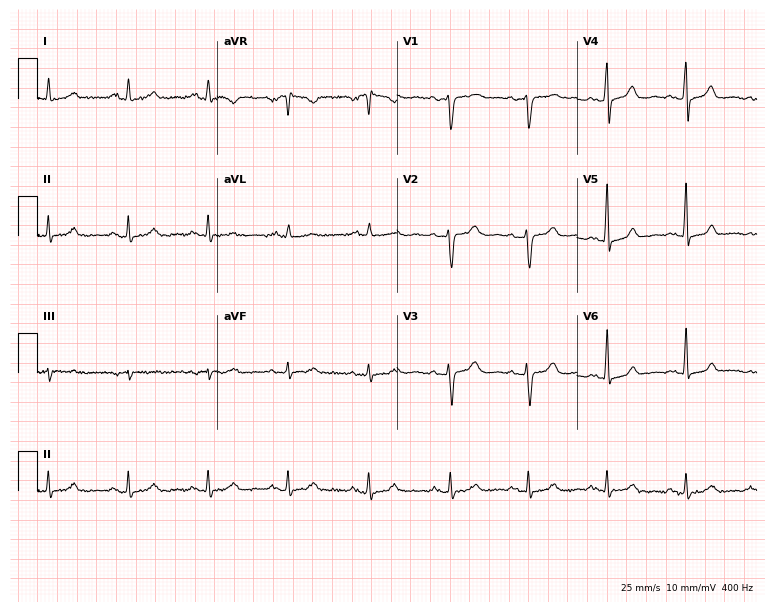
Resting 12-lead electrocardiogram (7.3-second recording at 400 Hz). Patient: a female, 54 years old. None of these six findings is recorded: first-degree AV block, right bundle branch block, left bundle branch block, sinus bradycardia, atrial fibrillation, sinus tachycardia.